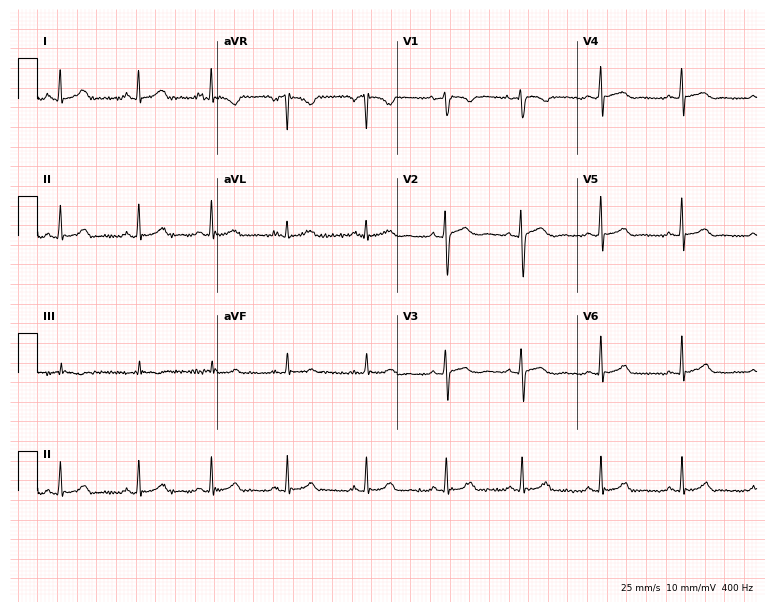
Standard 12-lead ECG recorded from a 26-year-old woman. None of these six findings is recorded: first-degree AV block, right bundle branch block, left bundle branch block, sinus bradycardia, atrial fibrillation, sinus tachycardia. Findings outside these six are not listed.